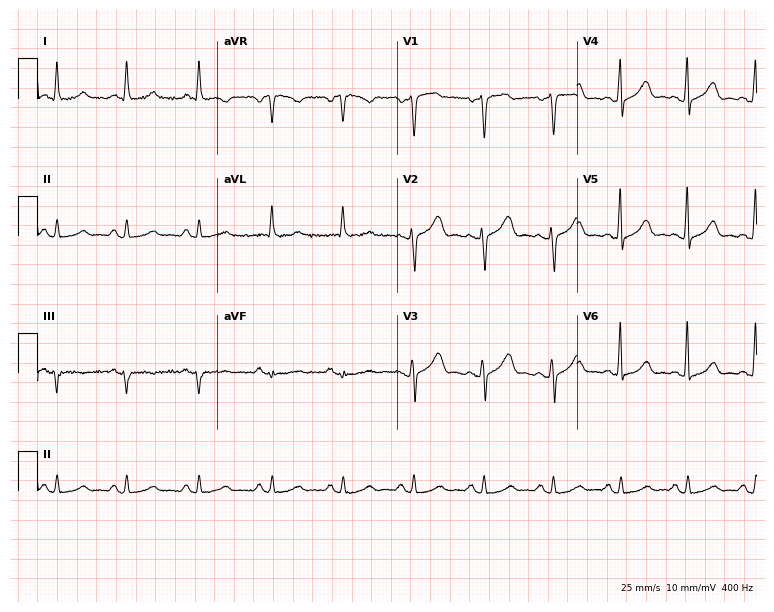
ECG — a 64-year-old female patient. Labelled as a normal ECG.